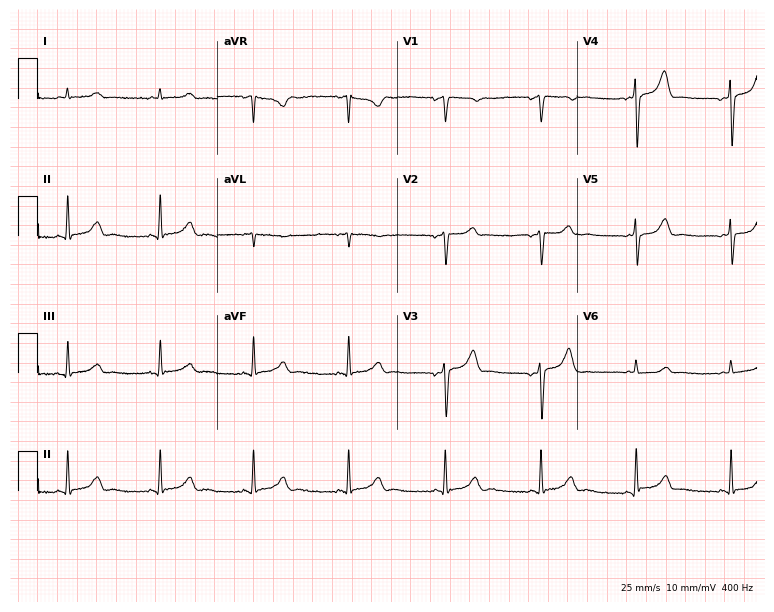
12-lead ECG from a 68-year-old man. Recorded interpretation: within normal limits.